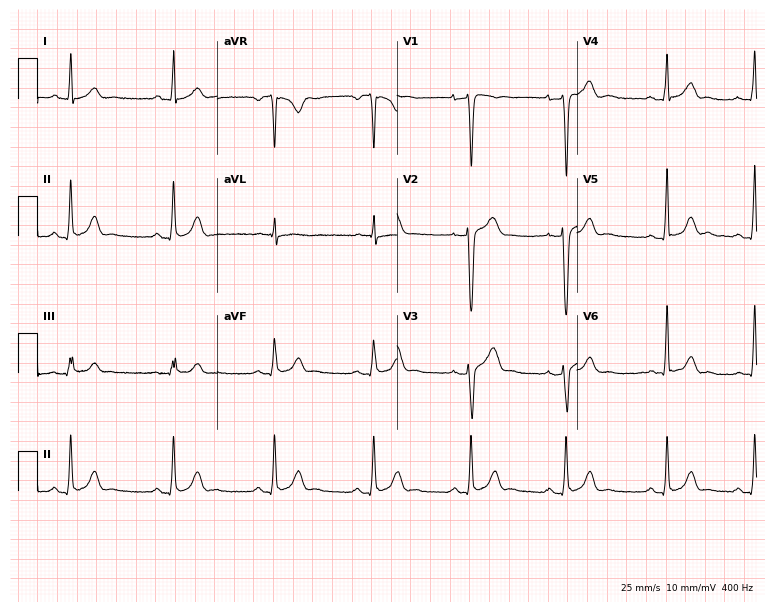
12-lead ECG from a male patient, 29 years old (7.3-second recording at 400 Hz). No first-degree AV block, right bundle branch block, left bundle branch block, sinus bradycardia, atrial fibrillation or sinus tachycardia recorded for this tracing.